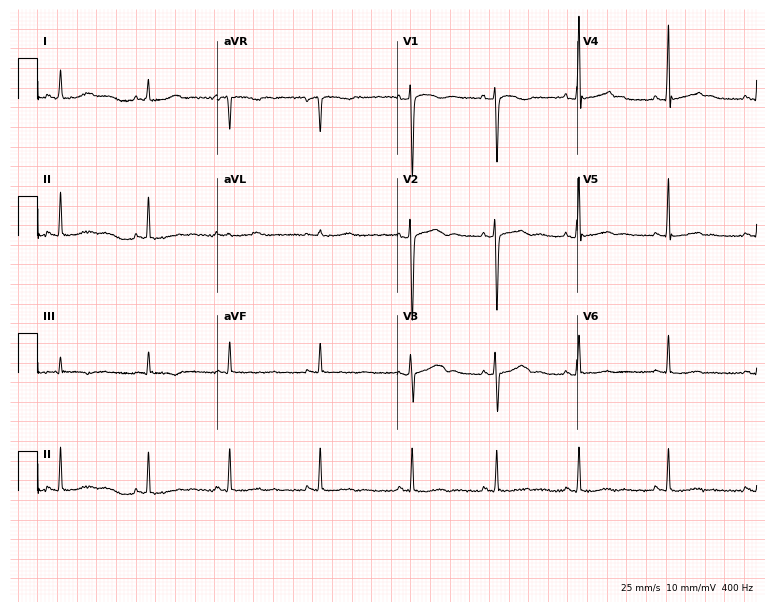
ECG — a 21-year-old female patient. Screened for six findings — first-degree AV block, right bundle branch block (RBBB), left bundle branch block (LBBB), sinus bradycardia, atrial fibrillation (AF), sinus tachycardia — none is recorded. Only these six findings were labelled.